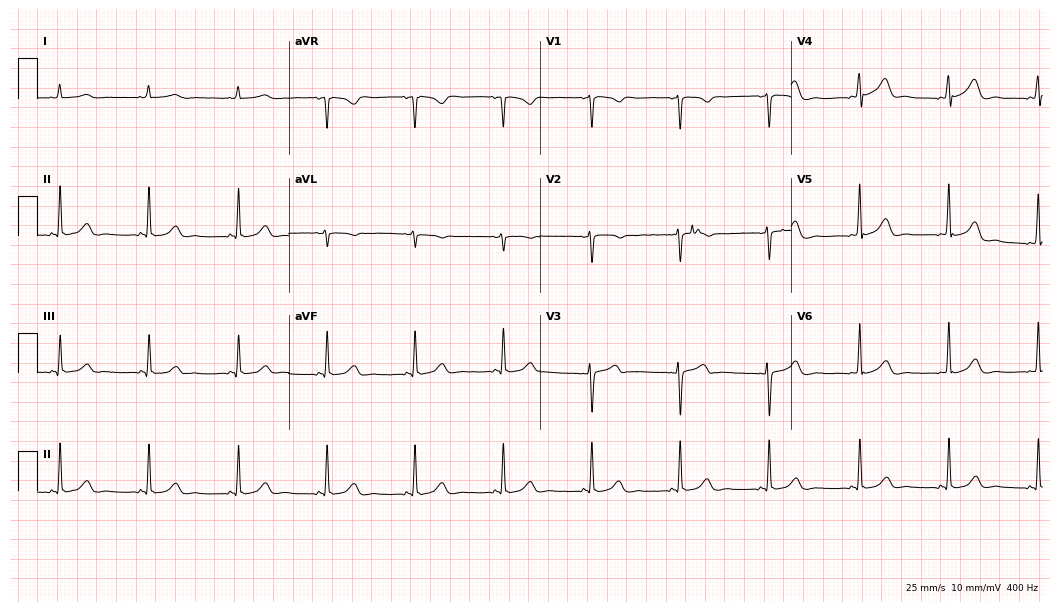
Electrocardiogram, a female, 25 years old. Overall reading on record: normal ECG.